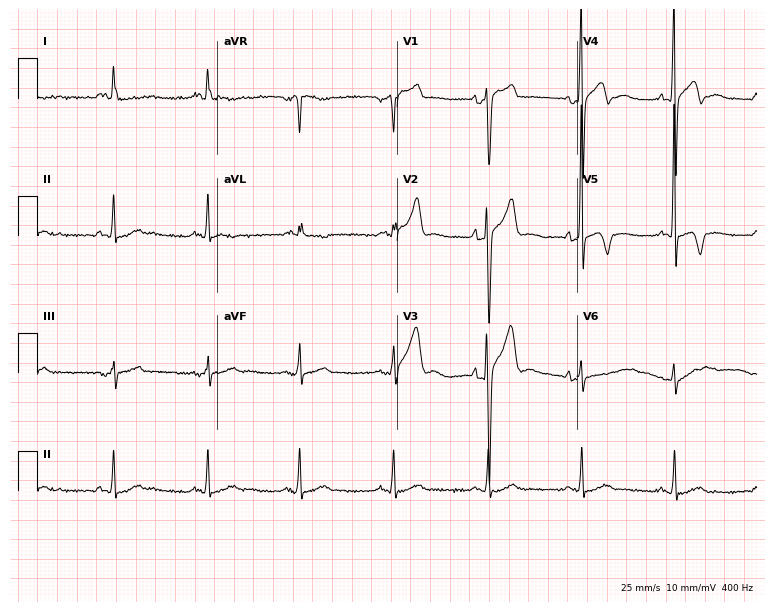
Electrocardiogram (7.3-second recording at 400 Hz), a male patient, 43 years old. Of the six screened findings (first-degree AV block, right bundle branch block (RBBB), left bundle branch block (LBBB), sinus bradycardia, atrial fibrillation (AF), sinus tachycardia), none is recorded. Other findings, if any, are not listed.